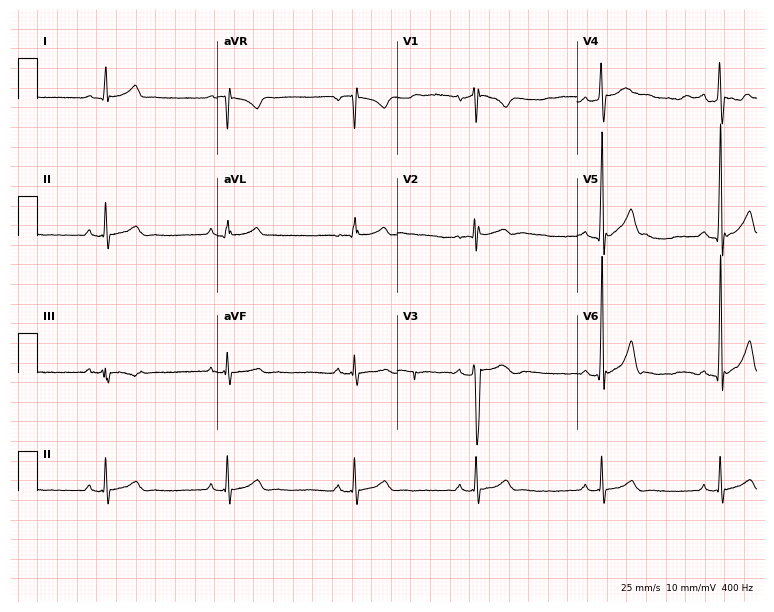
12-lead ECG from a 17-year-old male. Labelled as a normal ECG.